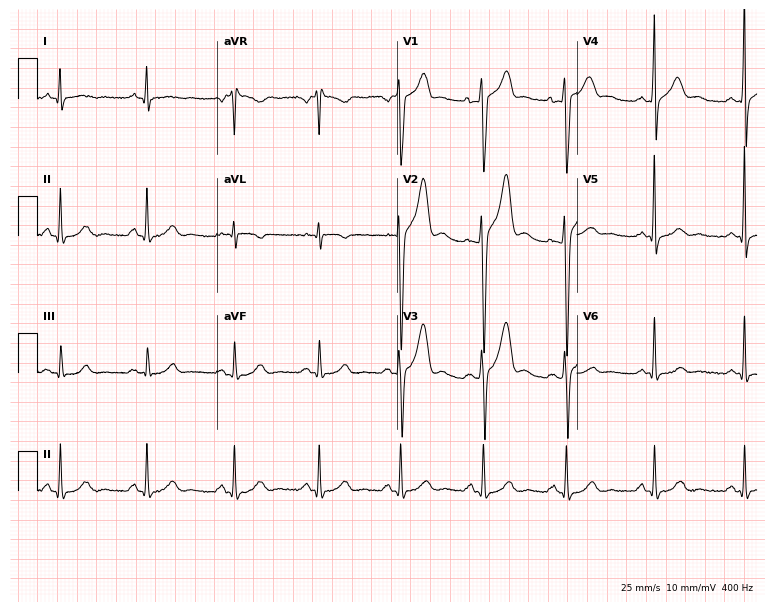
Resting 12-lead electrocardiogram (7.3-second recording at 400 Hz). Patient: a man, 39 years old. None of these six findings is recorded: first-degree AV block, right bundle branch block, left bundle branch block, sinus bradycardia, atrial fibrillation, sinus tachycardia. Findings outside these six are not listed.